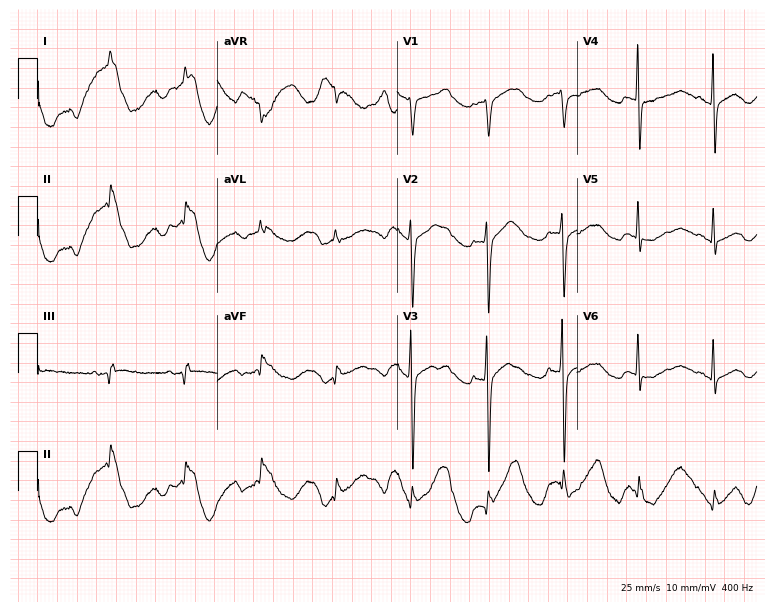
Resting 12-lead electrocardiogram (7.3-second recording at 400 Hz). Patient: a 78-year-old female. None of these six findings is recorded: first-degree AV block, right bundle branch block, left bundle branch block, sinus bradycardia, atrial fibrillation, sinus tachycardia. Other findings, if any, are not listed.